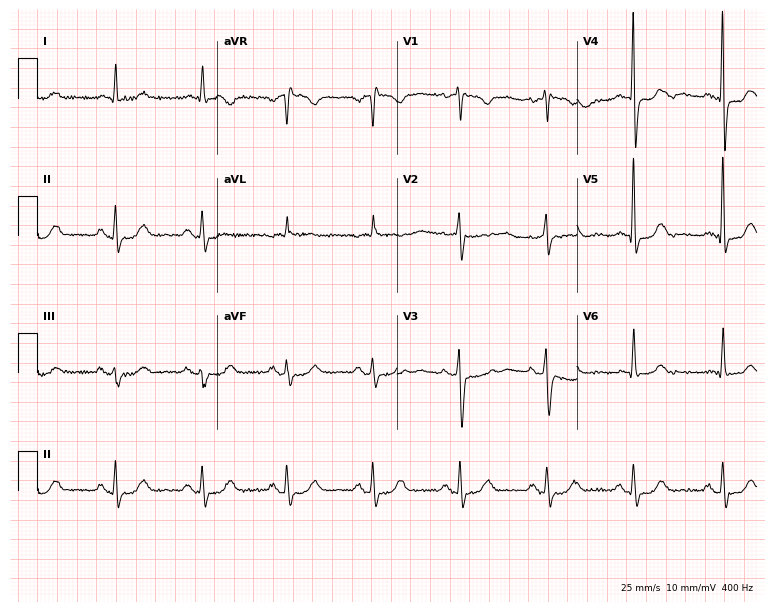
ECG — a woman, 73 years old. Screened for six findings — first-degree AV block, right bundle branch block (RBBB), left bundle branch block (LBBB), sinus bradycardia, atrial fibrillation (AF), sinus tachycardia — none is recorded.